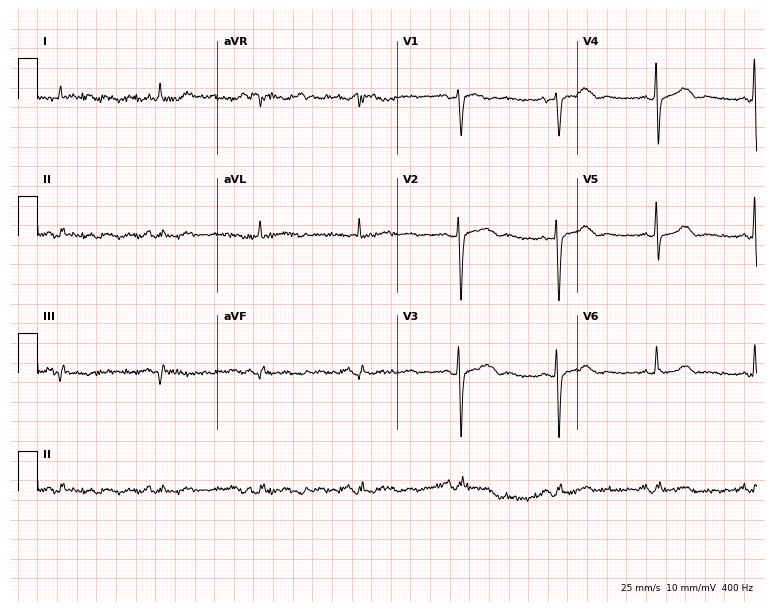
Electrocardiogram (7.3-second recording at 400 Hz), a 71-year-old male patient. Of the six screened findings (first-degree AV block, right bundle branch block, left bundle branch block, sinus bradycardia, atrial fibrillation, sinus tachycardia), none is recorded. Findings outside these six are not listed.